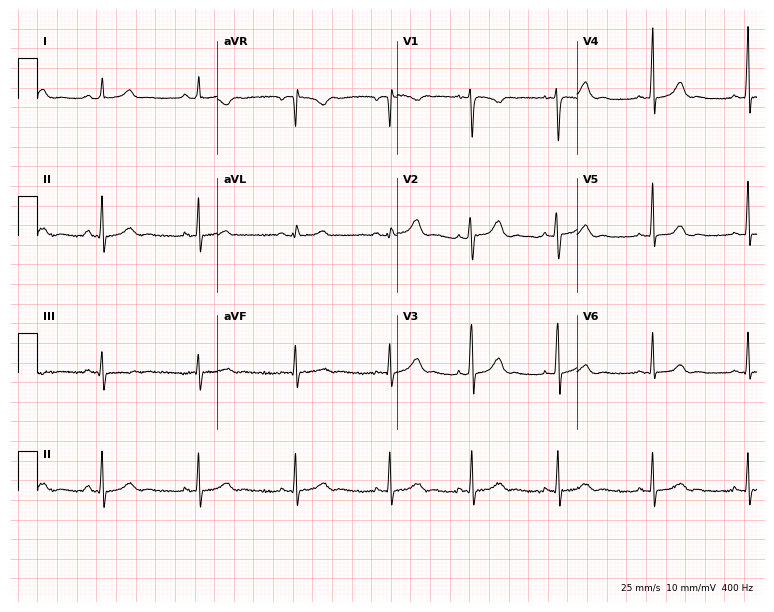
Electrocardiogram (7.3-second recording at 400 Hz), a 19-year-old female patient. Overall reading on record: normal ECG.